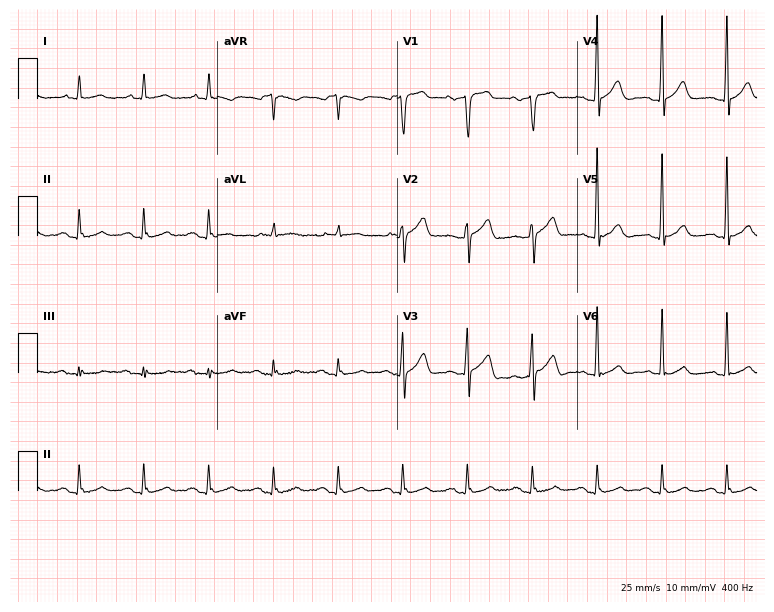
ECG (7.3-second recording at 400 Hz) — an 80-year-old male patient. Labelled as a normal ECG.